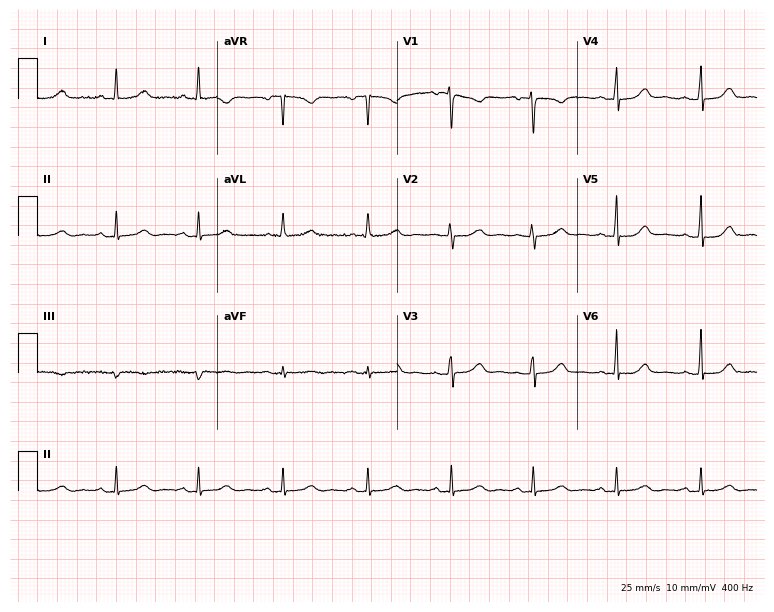
12-lead ECG from a woman, 50 years old (7.3-second recording at 400 Hz). Recorded interpretation: within normal limits.